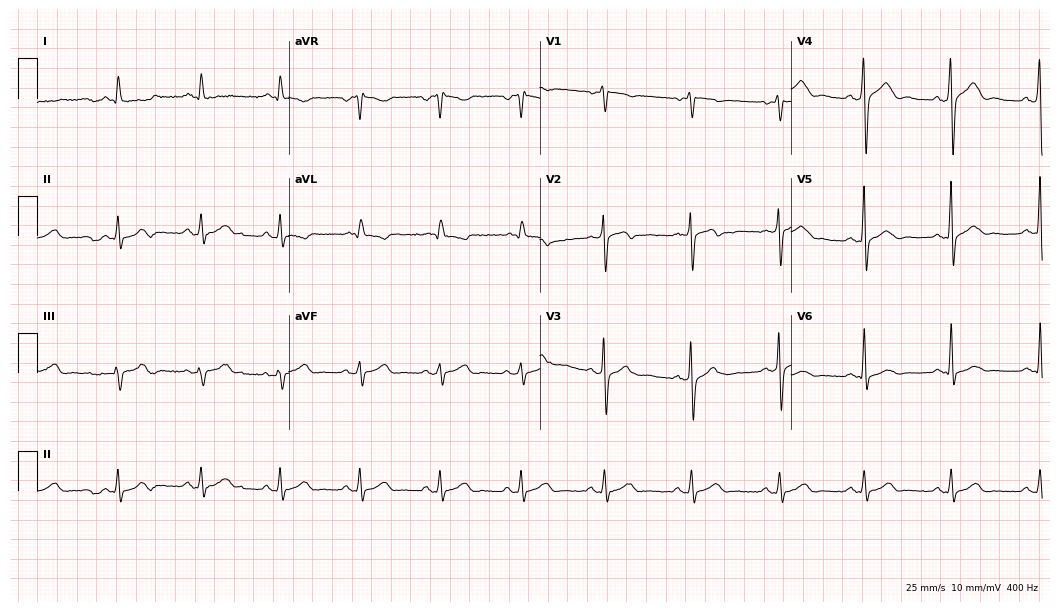
Resting 12-lead electrocardiogram. Patient: a male, 53 years old. None of these six findings is recorded: first-degree AV block, right bundle branch block, left bundle branch block, sinus bradycardia, atrial fibrillation, sinus tachycardia. Other findings, if any, are not listed.